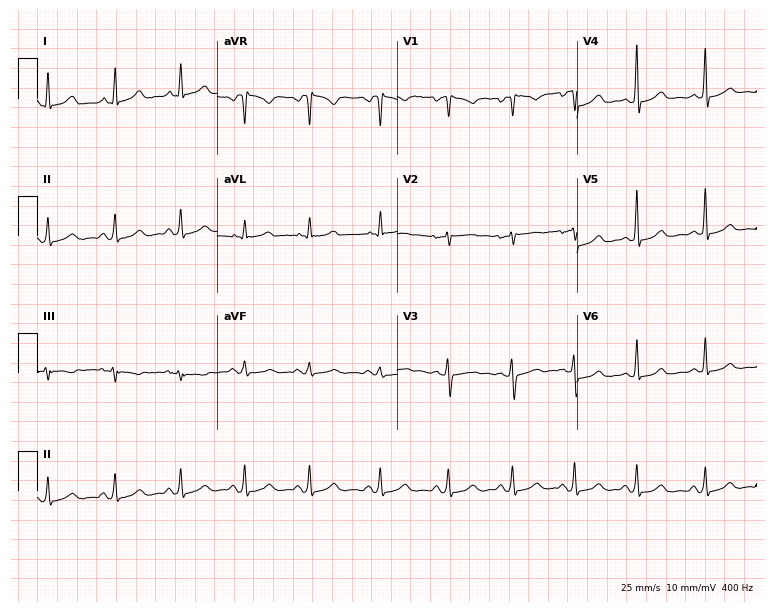
12-lead ECG from a female patient, 32 years old. No first-degree AV block, right bundle branch block (RBBB), left bundle branch block (LBBB), sinus bradycardia, atrial fibrillation (AF) or sinus tachycardia recorded for this tracing.